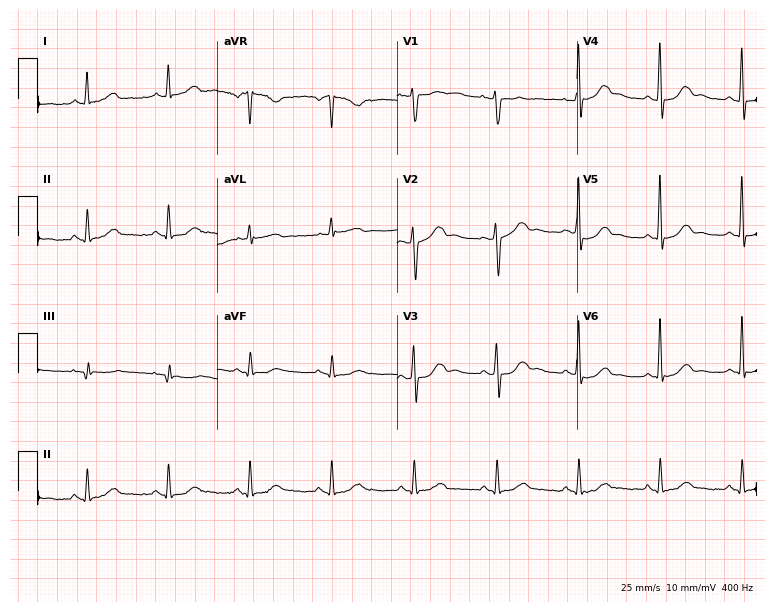
Standard 12-lead ECG recorded from a female patient, 63 years old. None of these six findings is recorded: first-degree AV block, right bundle branch block, left bundle branch block, sinus bradycardia, atrial fibrillation, sinus tachycardia. Findings outside these six are not listed.